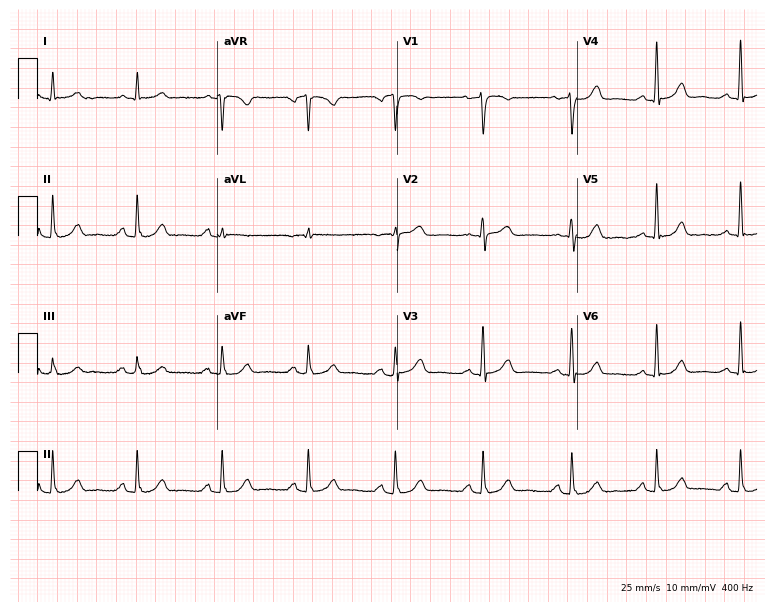
ECG (7.3-second recording at 400 Hz) — a female patient, 68 years old. Labelled as a normal ECG.